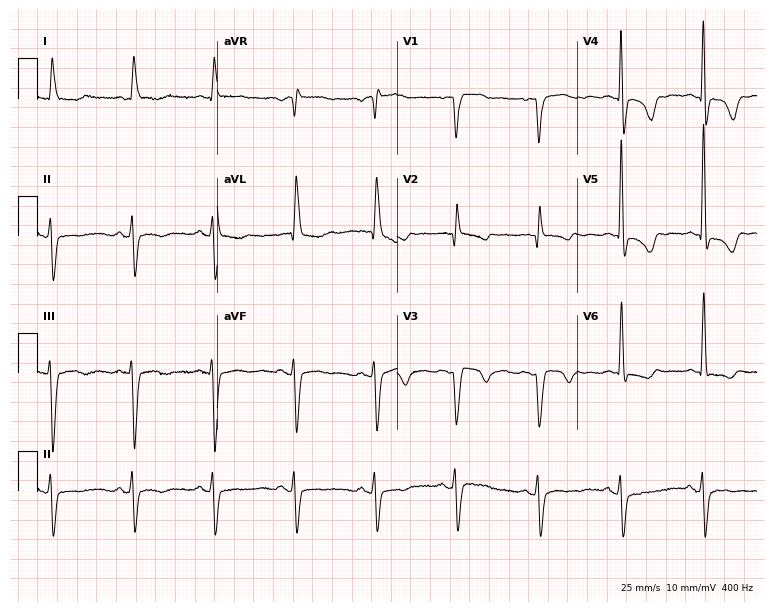
Standard 12-lead ECG recorded from a 79-year-old woman (7.3-second recording at 400 Hz). None of these six findings is recorded: first-degree AV block, right bundle branch block (RBBB), left bundle branch block (LBBB), sinus bradycardia, atrial fibrillation (AF), sinus tachycardia.